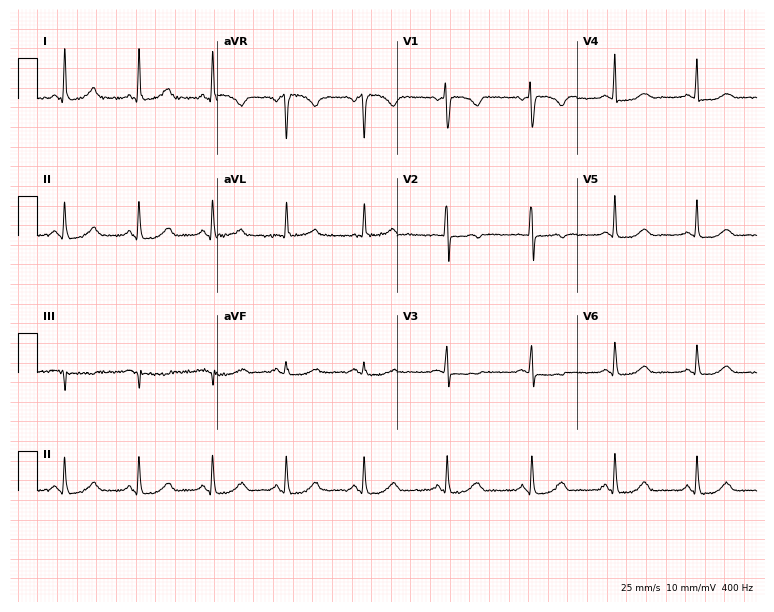
Resting 12-lead electrocardiogram. Patient: a 66-year-old woman. Read as a normal ECG.